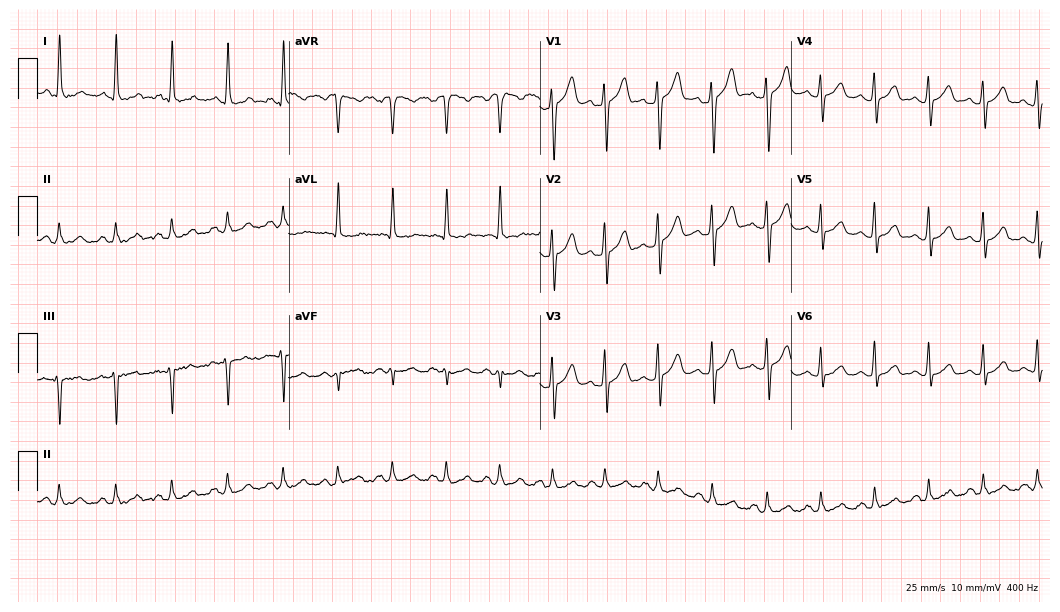
12-lead ECG (10.2-second recording at 400 Hz) from a 26-year-old man. Findings include sinus tachycardia (a sinus rate of 100 beats per minute or more).